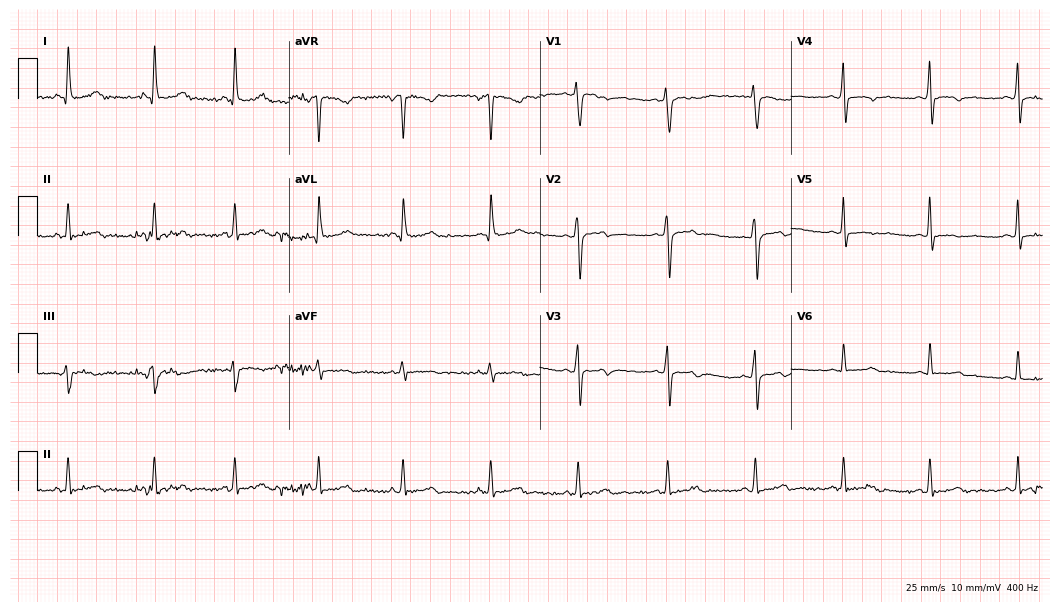
ECG (10.2-second recording at 400 Hz) — a 39-year-old male. Screened for six findings — first-degree AV block, right bundle branch block (RBBB), left bundle branch block (LBBB), sinus bradycardia, atrial fibrillation (AF), sinus tachycardia — none is recorded.